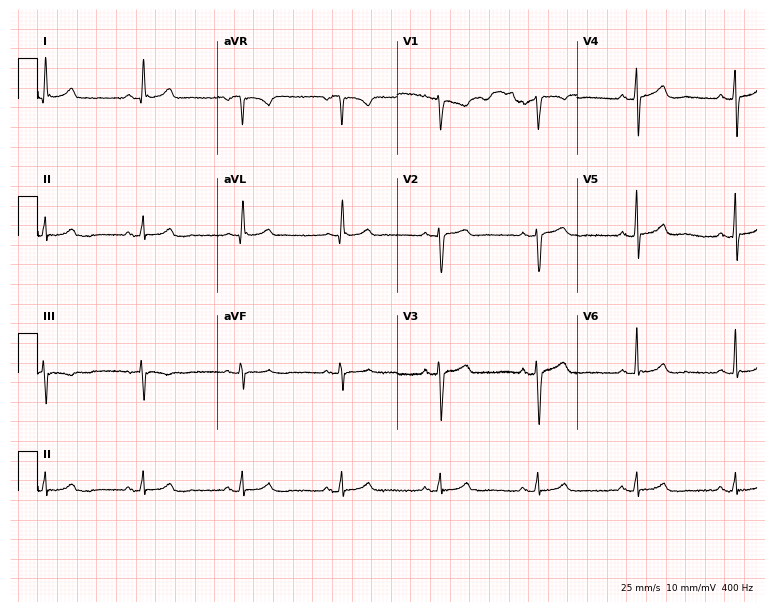
ECG — a 61-year-old male patient. Labelled as a normal ECG.